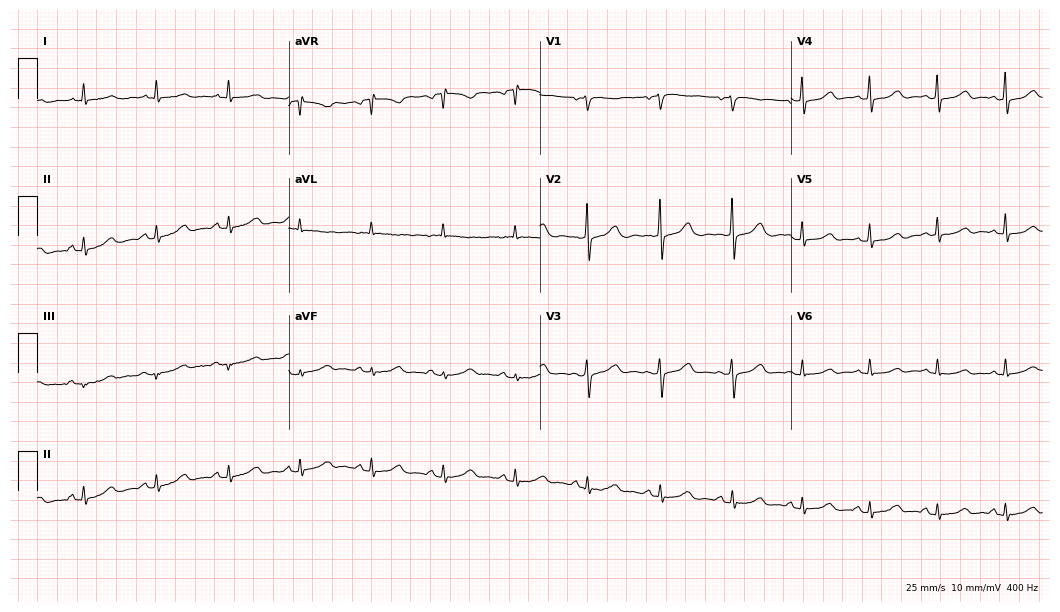
12-lead ECG from a 72-year-old woman (10.2-second recording at 400 Hz). No first-degree AV block, right bundle branch block (RBBB), left bundle branch block (LBBB), sinus bradycardia, atrial fibrillation (AF) or sinus tachycardia recorded for this tracing.